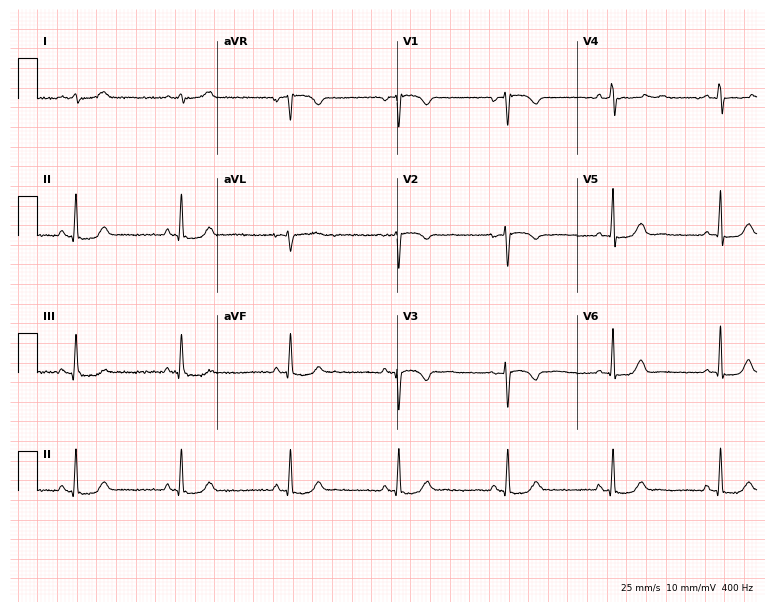
Resting 12-lead electrocardiogram. Patient: a 44-year-old female. Read as a normal ECG.